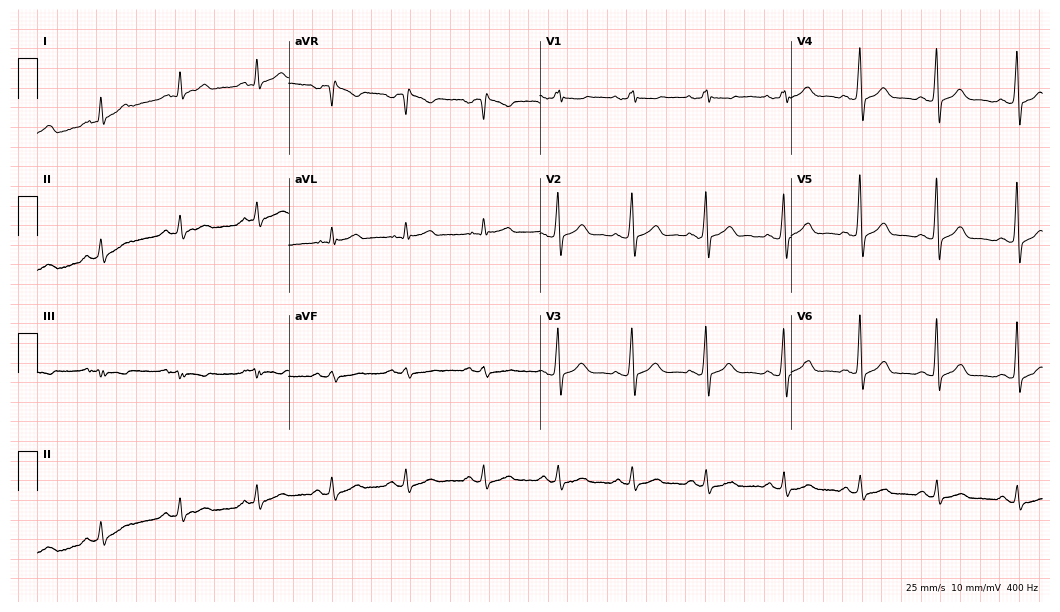
Standard 12-lead ECG recorded from a 25-year-old male (10.2-second recording at 400 Hz). None of these six findings is recorded: first-degree AV block, right bundle branch block (RBBB), left bundle branch block (LBBB), sinus bradycardia, atrial fibrillation (AF), sinus tachycardia.